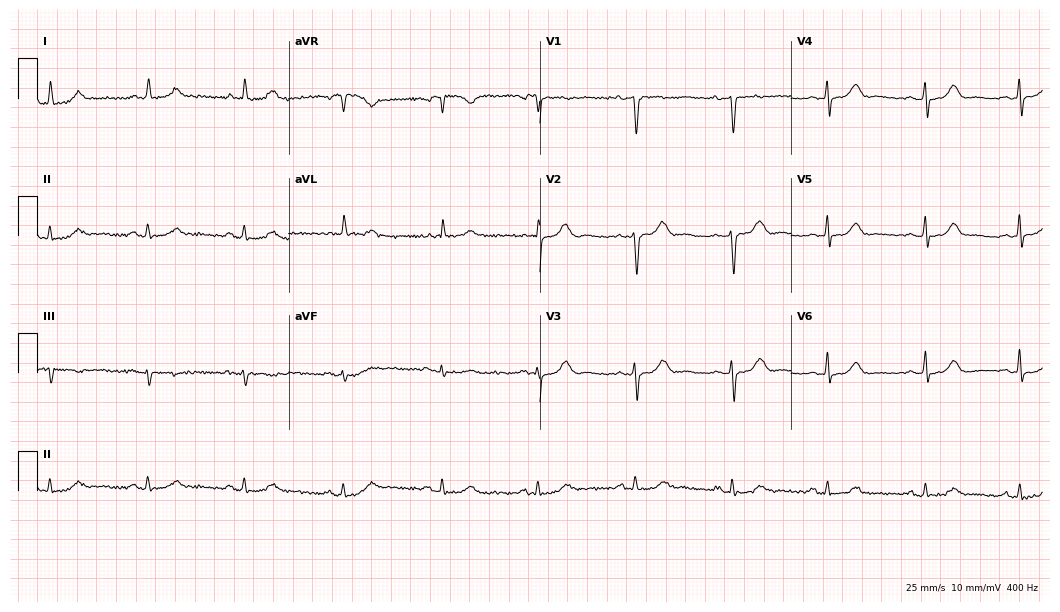
ECG (10.2-second recording at 400 Hz) — a woman, 50 years old. Labelled as a normal ECG.